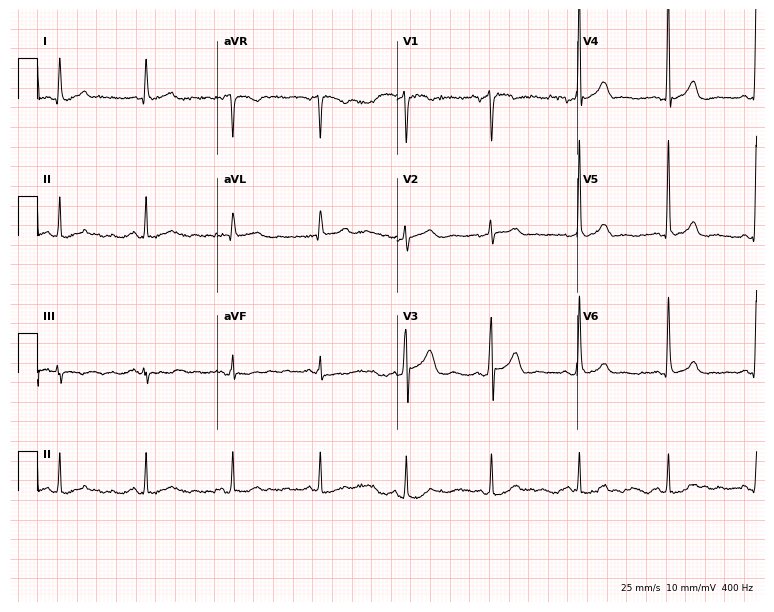
Electrocardiogram (7.3-second recording at 400 Hz), a 63-year-old male patient. Of the six screened findings (first-degree AV block, right bundle branch block (RBBB), left bundle branch block (LBBB), sinus bradycardia, atrial fibrillation (AF), sinus tachycardia), none is recorded. Other findings, if any, are not listed.